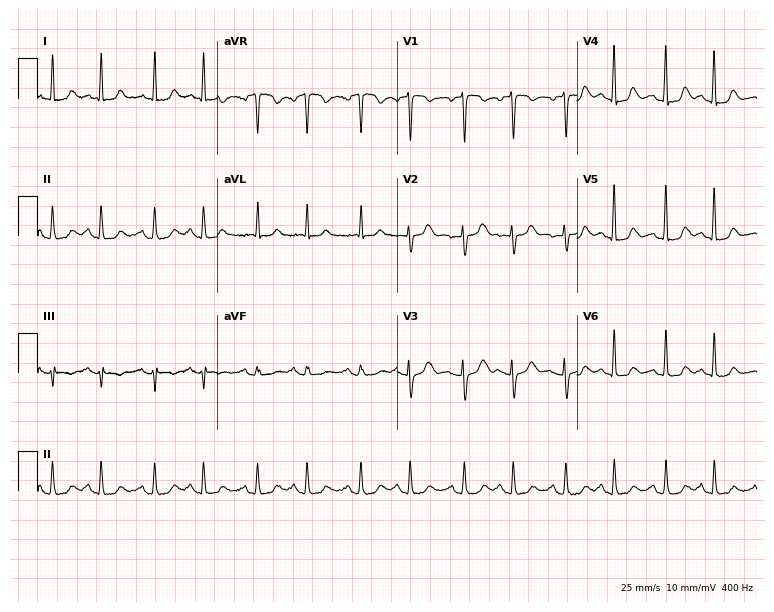
Standard 12-lead ECG recorded from a woman, 52 years old (7.3-second recording at 400 Hz). None of these six findings is recorded: first-degree AV block, right bundle branch block, left bundle branch block, sinus bradycardia, atrial fibrillation, sinus tachycardia.